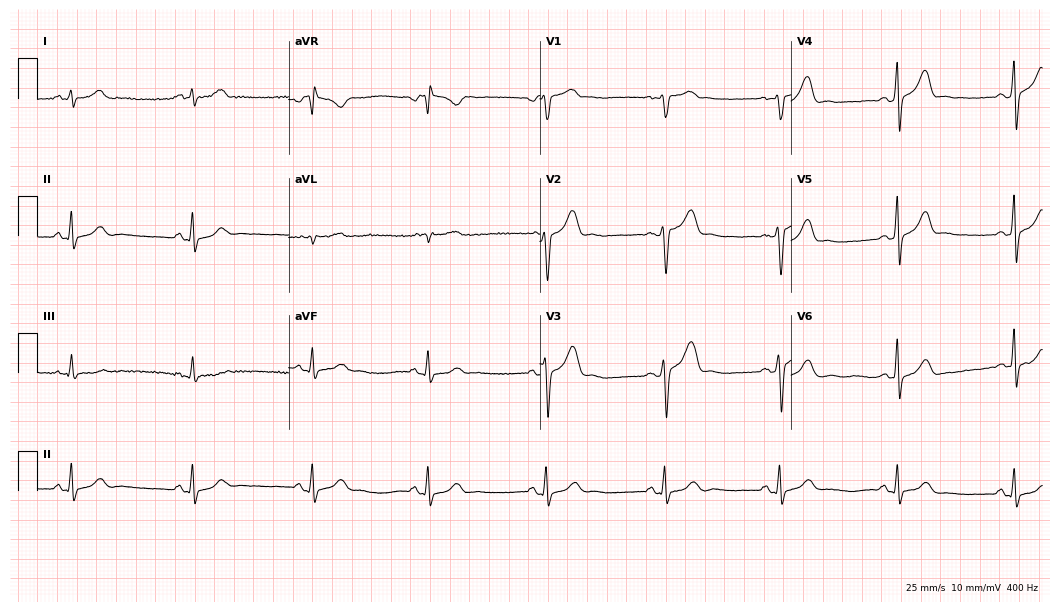
Electrocardiogram (10.2-second recording at 400 Hz), a man, 44 years old. Overall reading on record: normal ECG.